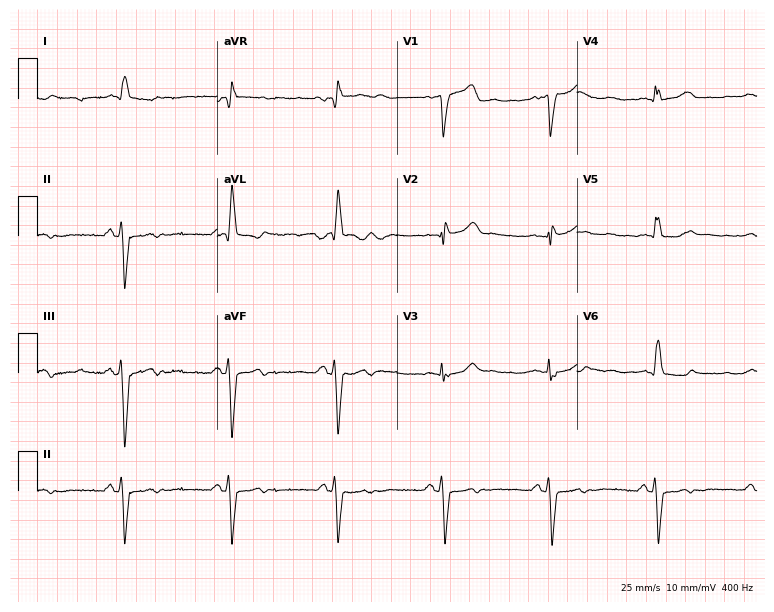
Resting 12-lead electrocardiogram. Patient: a 78-year-old female. None of these six findings is recorded: first-degree AV block, right bundle branch block, left bundle branch block, sinus bradycardia, atrial fibrillation, sinus tachycardia. Other findings, if any, are not listed.